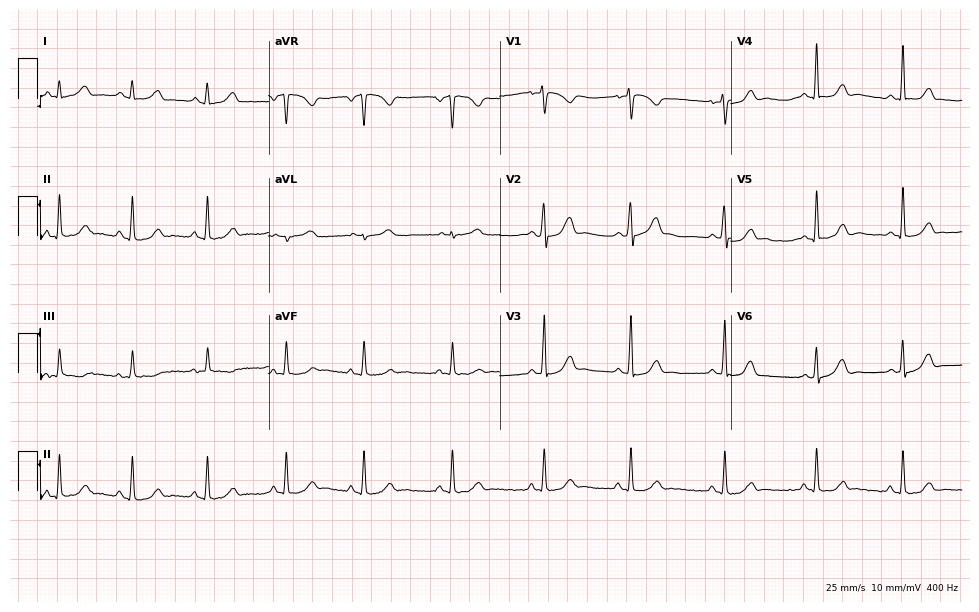
ECG (9.4-second recording at 400 Hz) — a 29-year-old female patient. Screened for six findings — first-degree AV block, right bundle branch block (RBBB), left bundle branch block (LBBB), sinus bradycardia, atrial fibrillation (AF), sinus tachycardia — none is recorded.